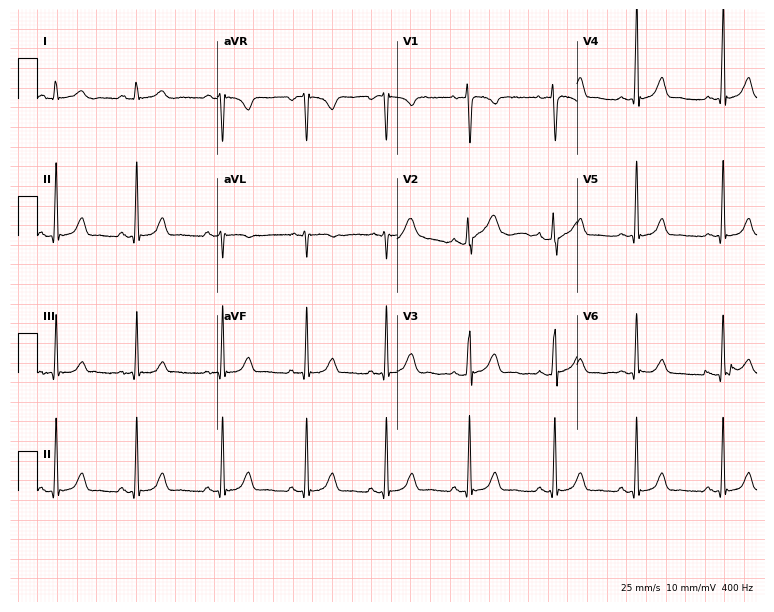
12-lead ECG from a woman, 21 years old. Recorded interpretation: within normal limits.